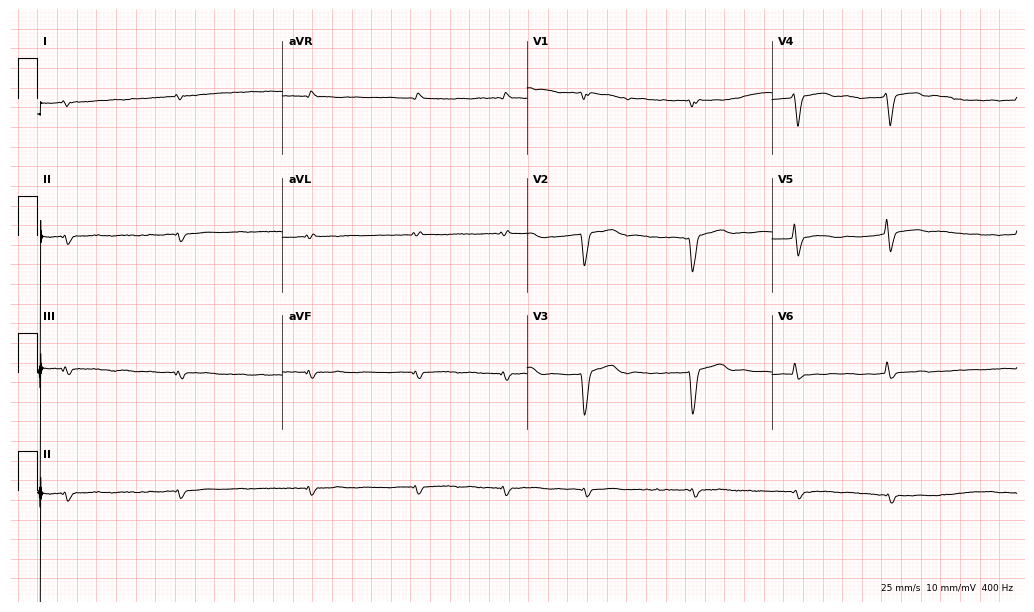
12-lead ECG from a male, 70 years old. No first-degree AV block, right bundle branch block, left bundle branch block, sinus bradycardia, atrial fibrillation or sinus tachycardia recorded for this tracing.